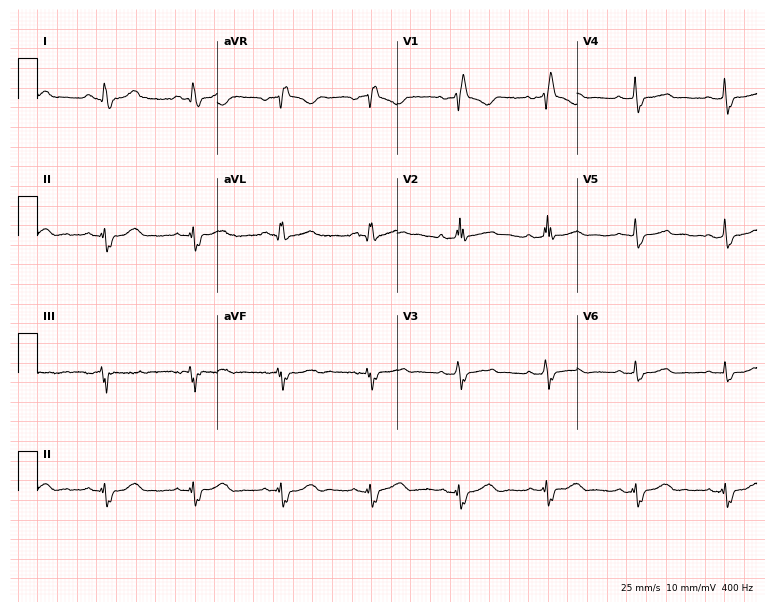
ECG (7.3-second recording at 400 Hz) — a female patient, 49 years old. Findings include right bundle branch block.